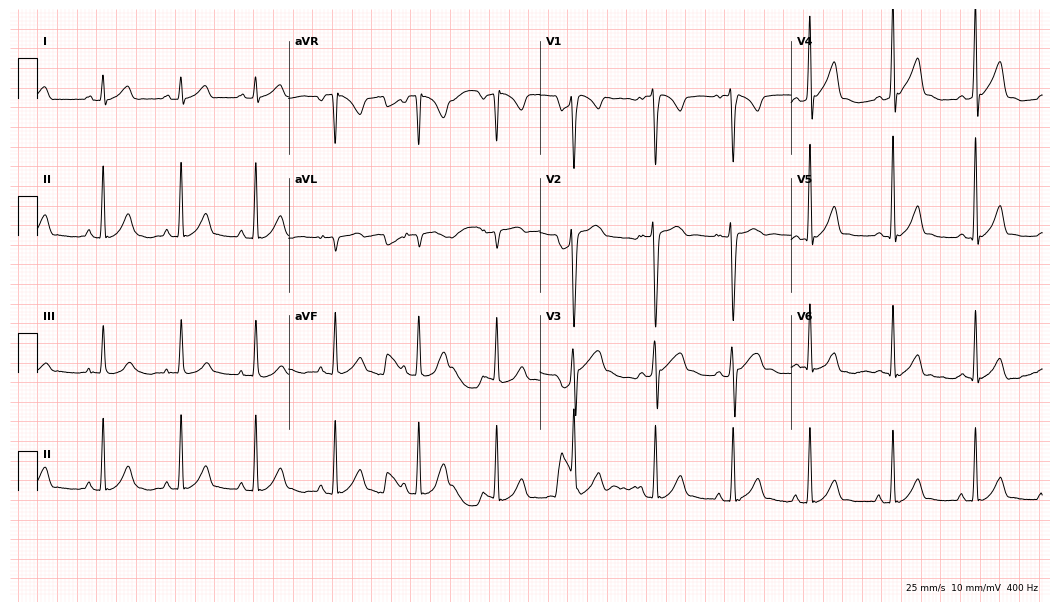
ECG — a 27-year-old man. Labelled as a normal ECG.